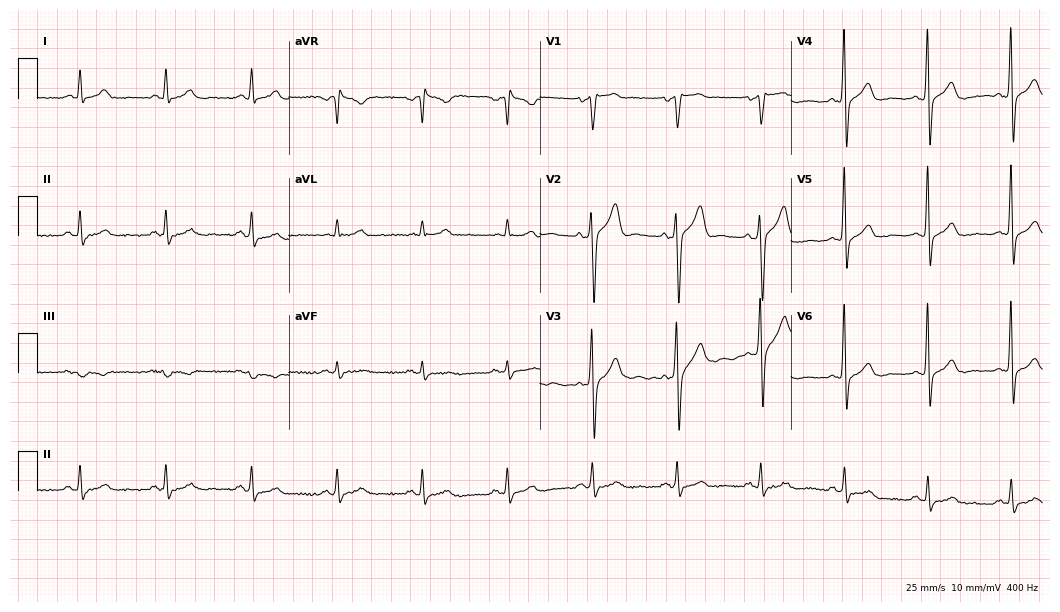
Standard 12-lead ECG recorded from a man, 58 years old. None of these six findings is recorded: first-degree AV block, right bundle branch block, left bundle branch block, sinus bradycardia, atrial fibrillation, sinus tachycardia.